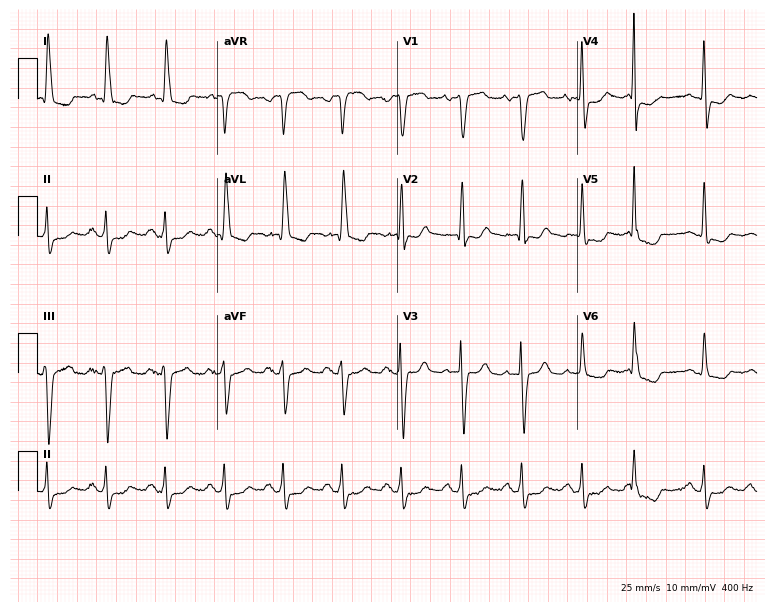
Electrocardiogram (7.3-second recording at 400 Hz), a female, 75 years old. Of the six screened findings (first-degree AV block, right bundle branch block (RBBB), left bundle branch block (LBBB), sinus bradycardia, atrial fibrillation (AF), sinus tachycardia), none is recorded. Only these six findings were labelled.